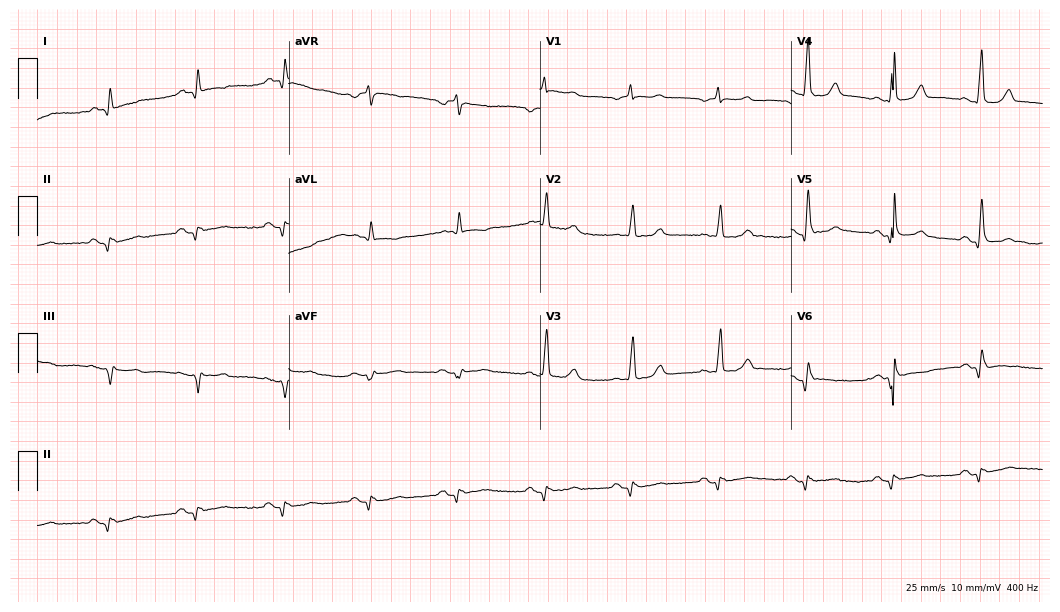
Resting 12-lead electrocardiogram. Patient: an 84-year-old female. None of these six findings is recorded: first-degree AV block, right bundle branch block, left bundle branch block, sinus bradycardia, atrial fibrillation, sinus tachycardia. Only these six findings were labelled.